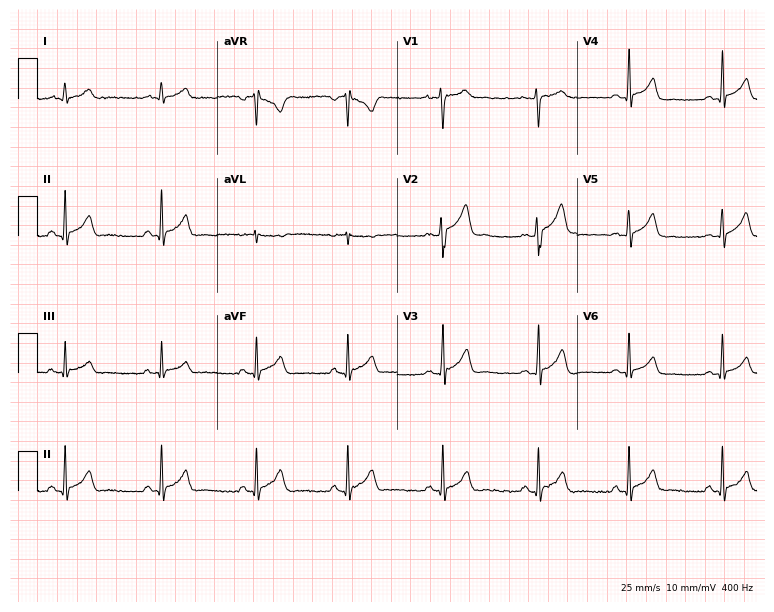
Electrocardiogram (7.3-second recording at 400 Hz), a 24-year-old man. Overall reading on record: normal ECG.